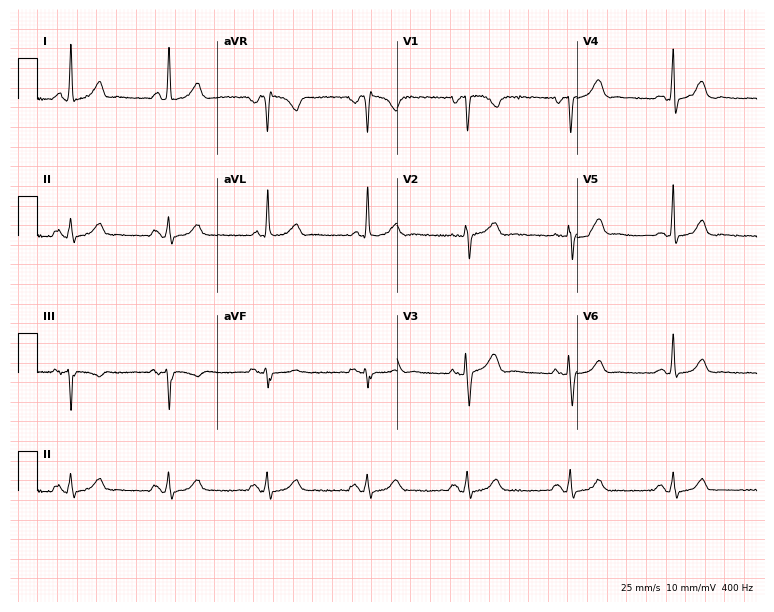
ECG — a female, 67 years old. Labelled as a normal ECG.